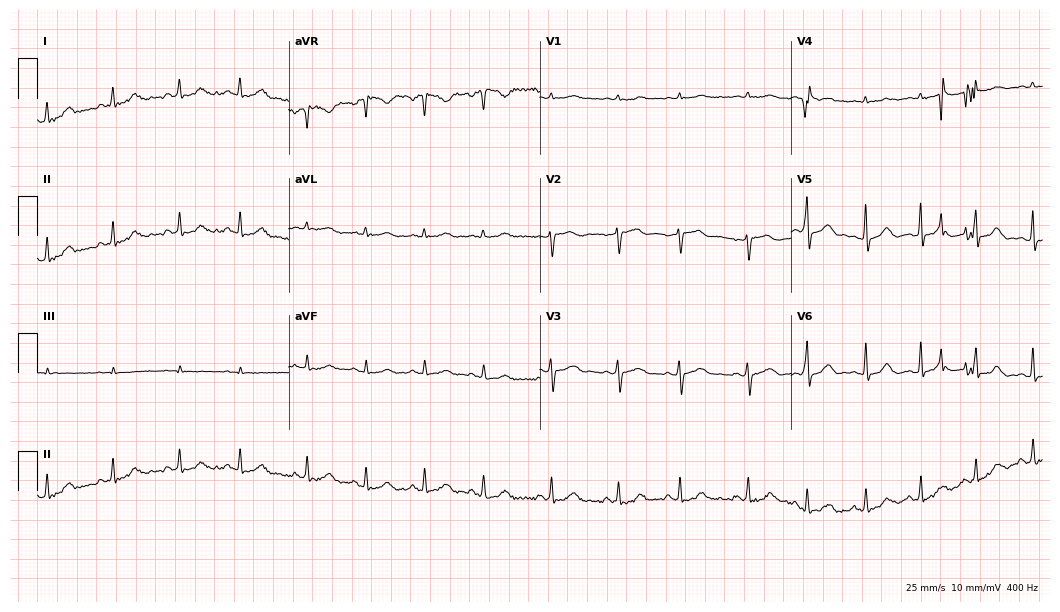
Standard 12-lead ECG recorded from a female patient, 23 years old. Read as a normal ECG.